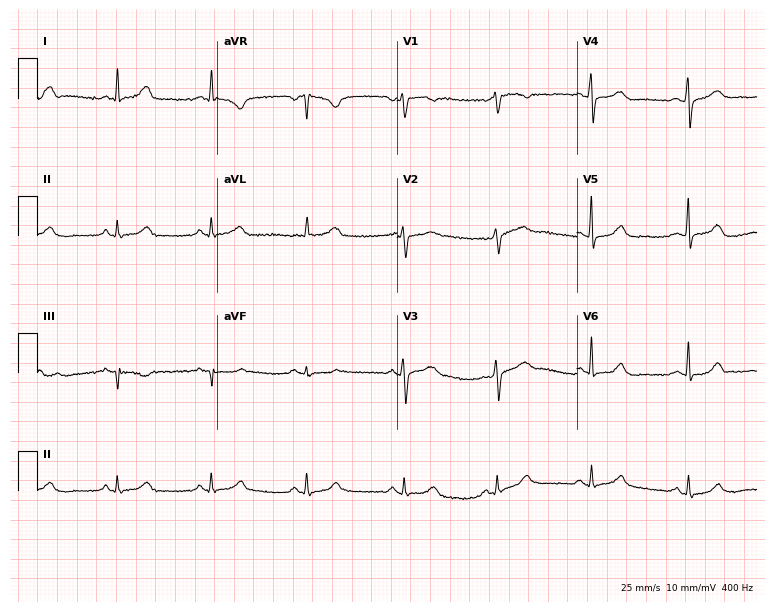
12-lead ECG (7.3-second recording at 400 Hz) from a woman, 52 years old. Labelled as a normal ECG.